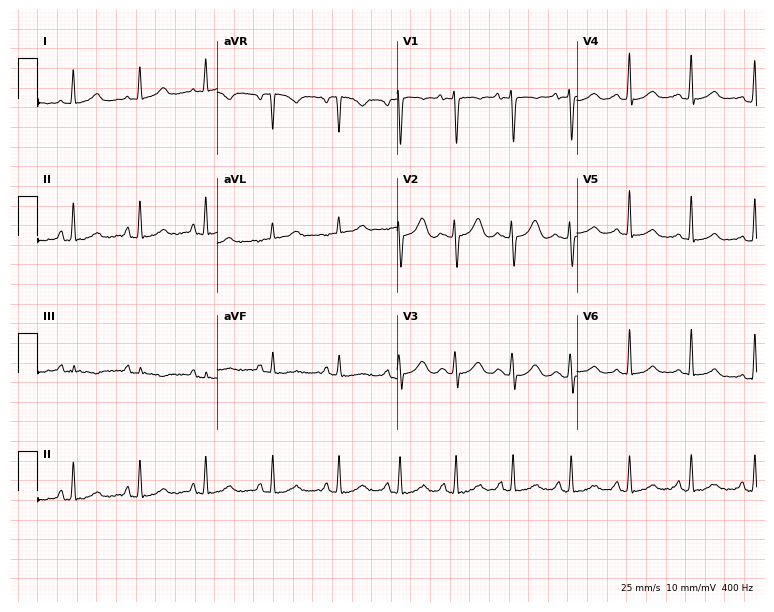
12-lead ECG (7.3-second recording at 400 Hz) from a 35-year-old female patient. Screened for six findings — first-degree AV block, right bundle branch block (RBBB), left bundle branch block (LBBB), sinus bradycardia, atrial fibrillation (AF), sinus tachycardia — none is recorded. Only these six findings were labelled.